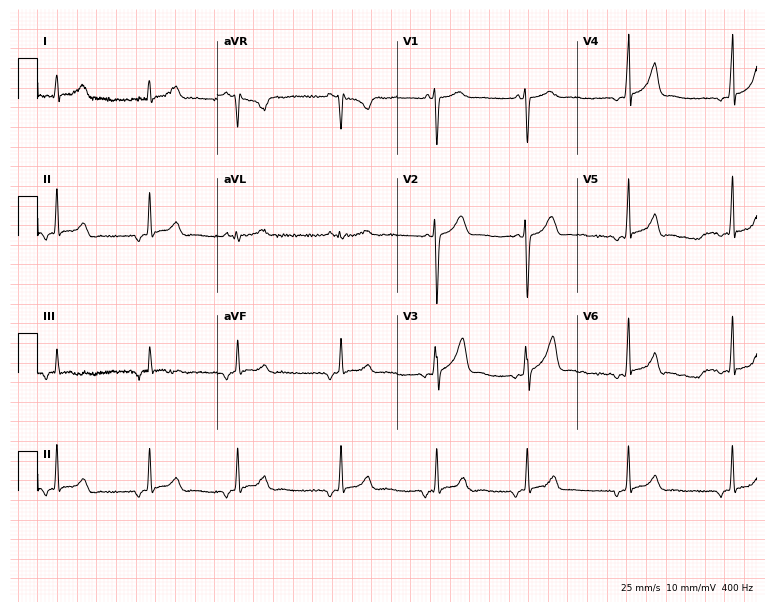
12-lead ECG from a female patient, 25 years old. Labelled as a normal ECG.